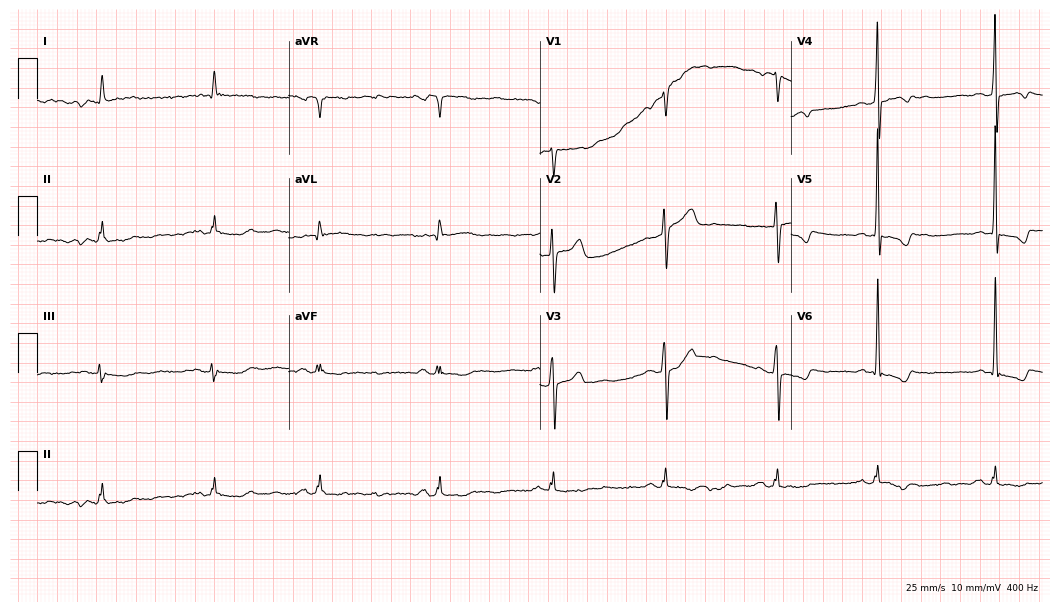
Standard 12-lead ECG recorded from a 63-year-old male patient. None of these six findings is recorded: first-degree AV block, right bundle branch block, left bundle branch block, sinus bradycardia, atrial fibrillation, sinus tachycardia. Only these six findings were labelled.